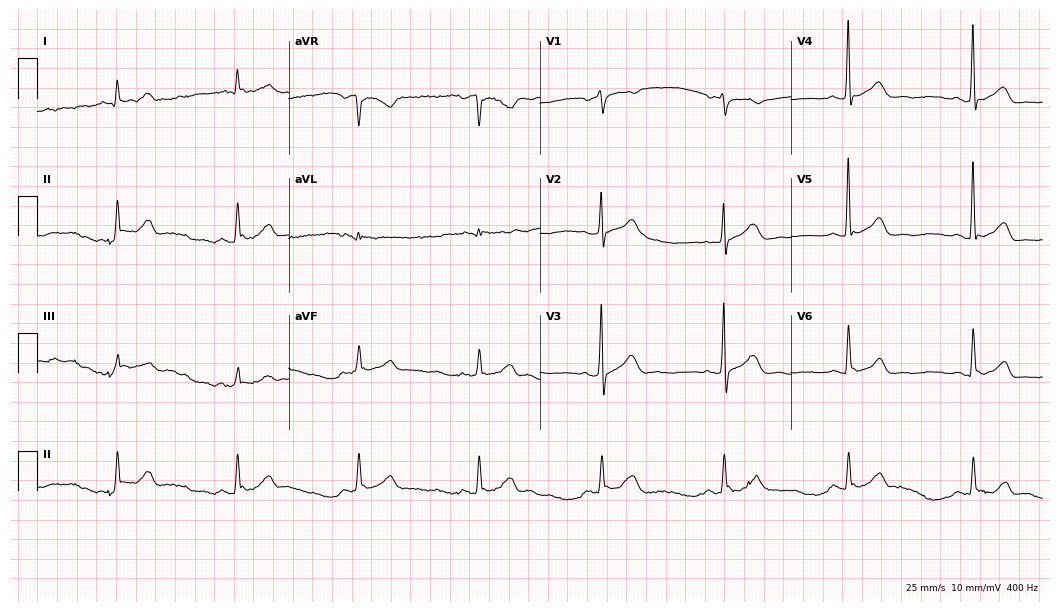
Standard 12-lead ECG recorded from a male patient, 66 years old. None of these six findings is recorded: first-degree AV block, right bundle branch block (RBBB), left bundle branch block (LBBB), sinus bradycardia, atrial fibrillation (AF), sinus tachycardia.